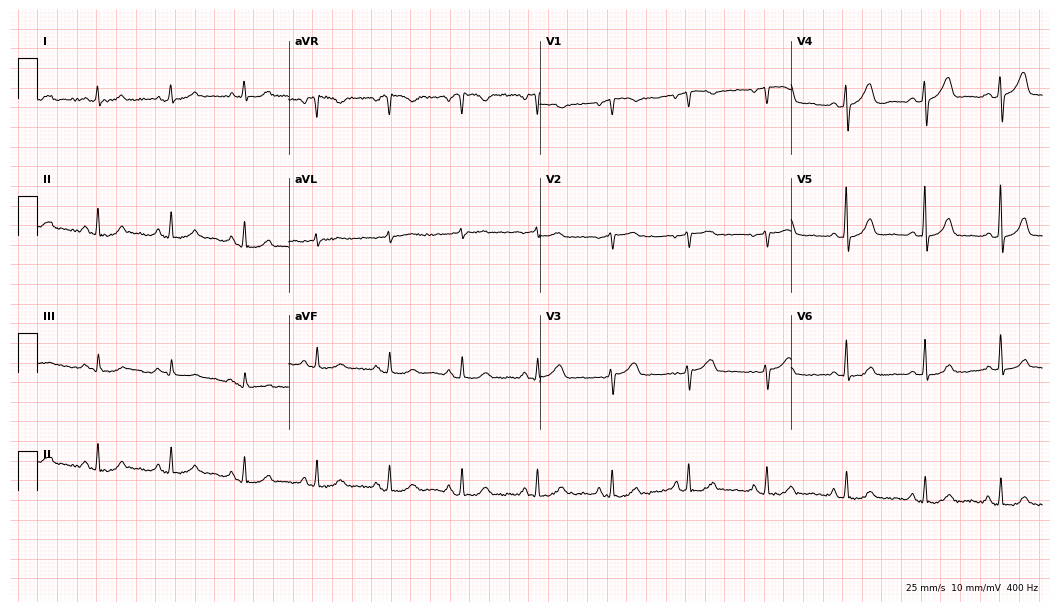
Electrocardiogram, a female, 61 years old. Overall reading on record: normal ECG.